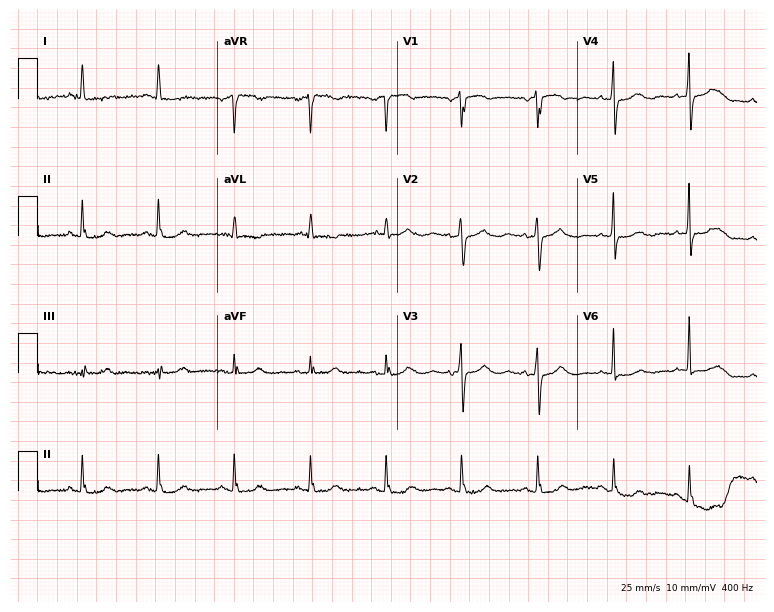
Electrocardiogram (7.3-second recording at 400 Hz), a female, 74 years old. Overall reading on record: normal ECG.